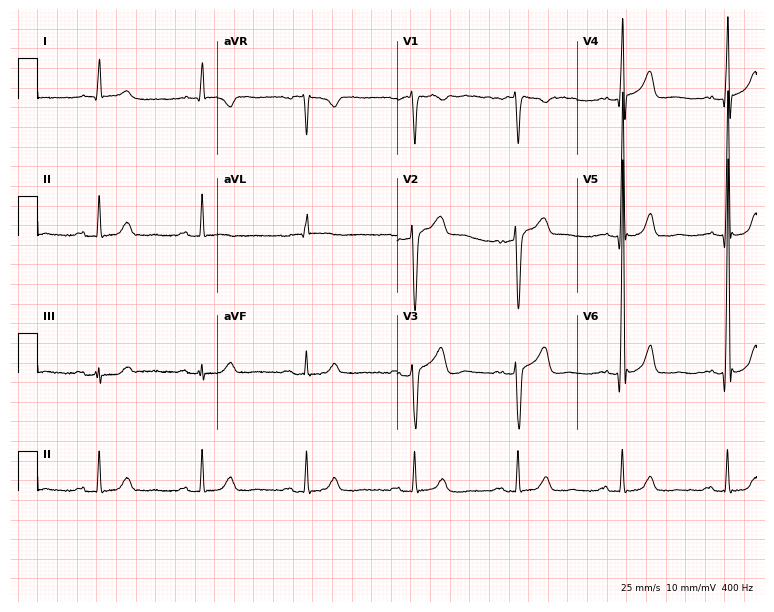
Standard 12-lead ECG recorded from a 76-year-old man. The tracing shows first-degree AV block.